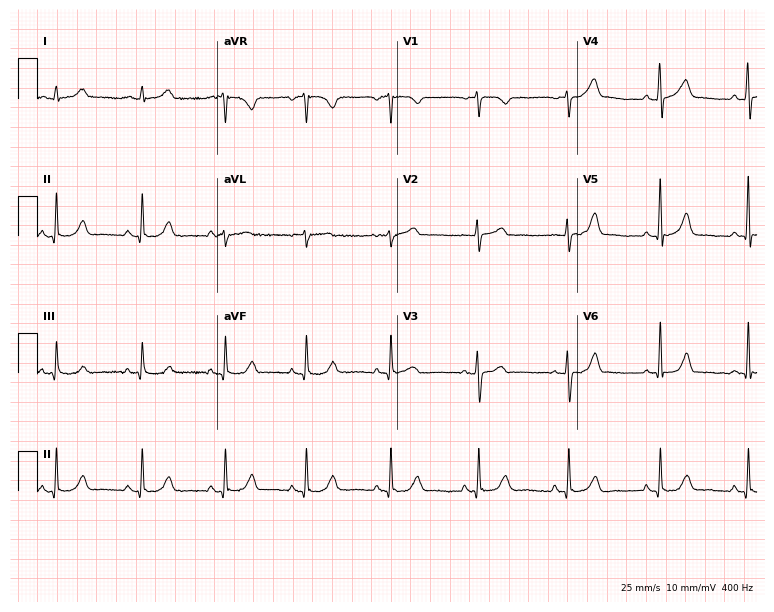
12-lead ECG from a female patient, 36 years old (7.3-second recording at 400 Hz). Recorded interpretation: within normal limits.